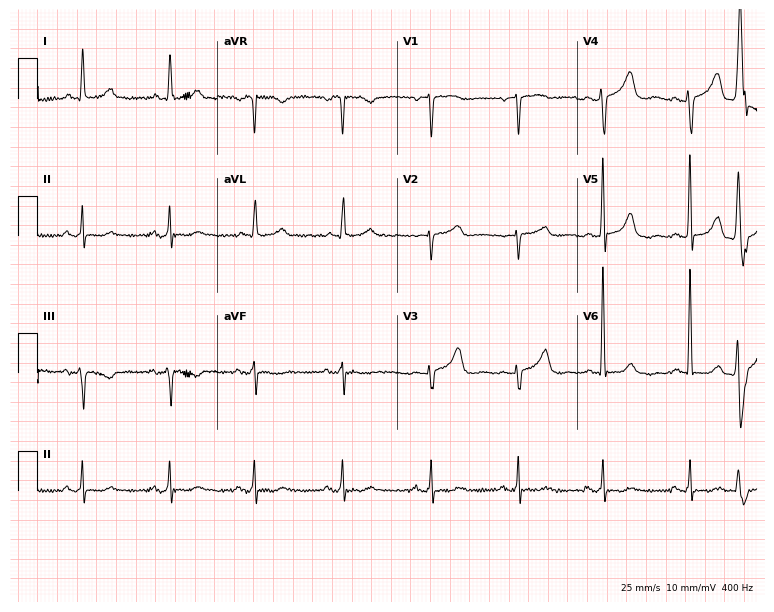
Resting 12-lead electrocardiogram. Patient: a woman, 73 years old. Read as a normal ECG.